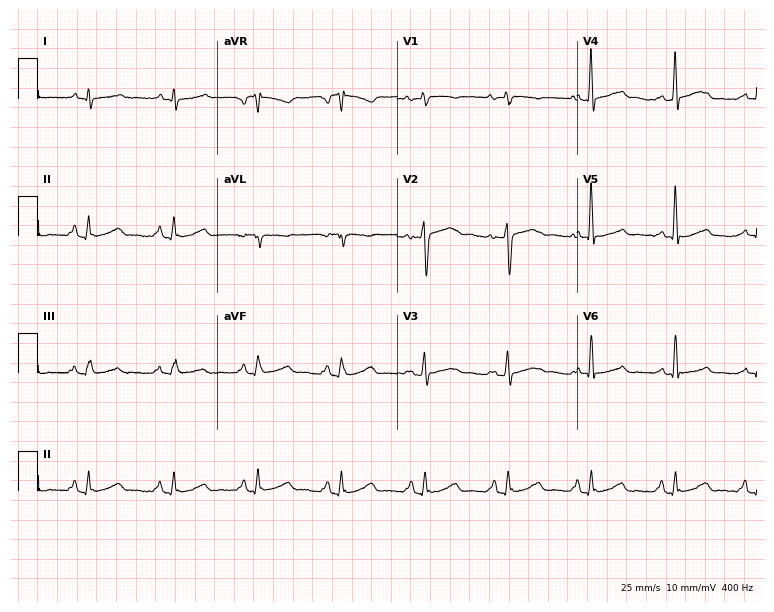
Electrocardiogram (7.3-second recording at 400 Hz), a woman, 41 years old. Overall reading on record: normal ECG.